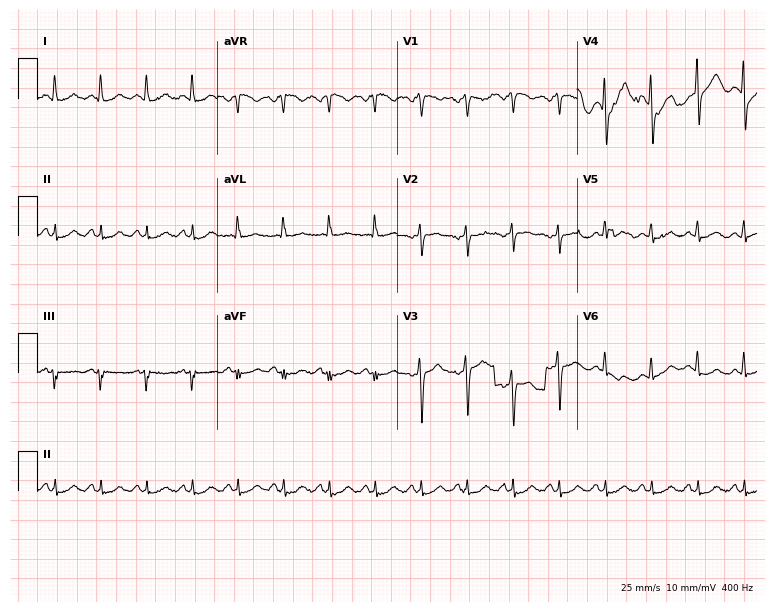
Standard 12-lead ECG recorded from a male, 52 years old (7.3-second recording at 400 Hz). The tracing shows sinus tachycardia (a sinus rate of 100 beats per minute or more).